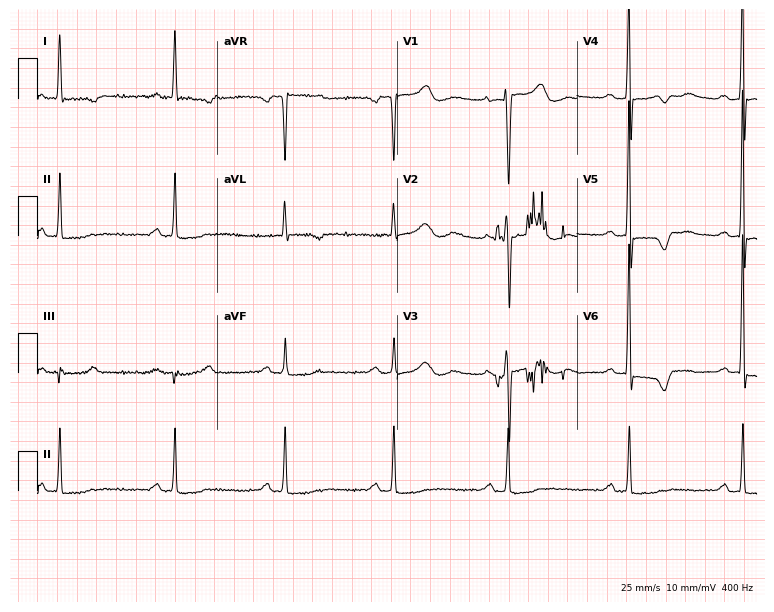
12-lead ECG from a female patient, 63 years old (7.3-second recording at 400 Hz). No first-degree AV block, right bundle branch block (RBBB), left bundle branch block (LBBB), sinus bradycardia, atrial fibrillation (AF) or sinus tachycardia recorded for this tracing.